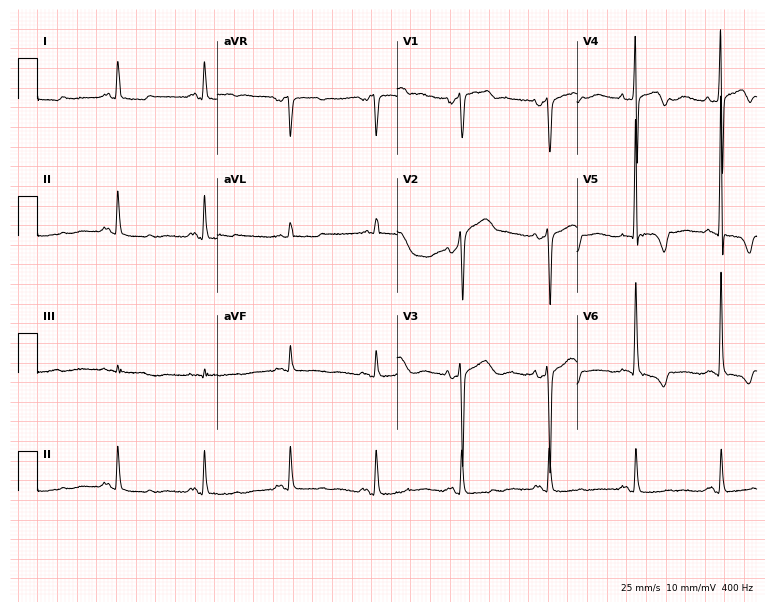
Resting 12-lead electrocardiogram. Patient: a 26-year-old male. Read as a normal ECG.